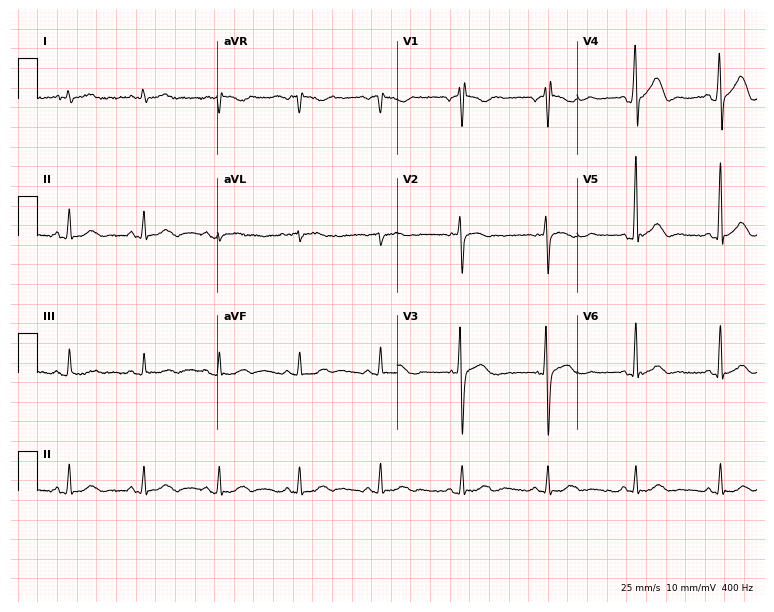
12-lead ECG (7.3-second recording at 400 Hz) from a 41-year-old male. Labelled as a normal ECG.